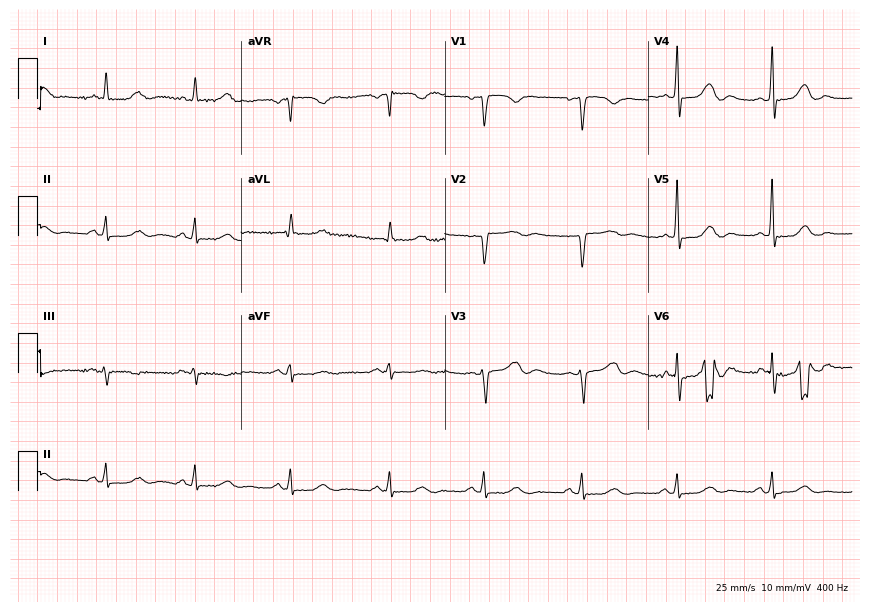
Resting 12-lead electrocardiogram. Patient: a 47-year-old woman. None of these six findings is recorded: first-degree AV block, right bundle branch block, left bundle branch block, sinus bradycardia, atrial fibrillation, sinus tachycardia. Findings outside these six are not listed.